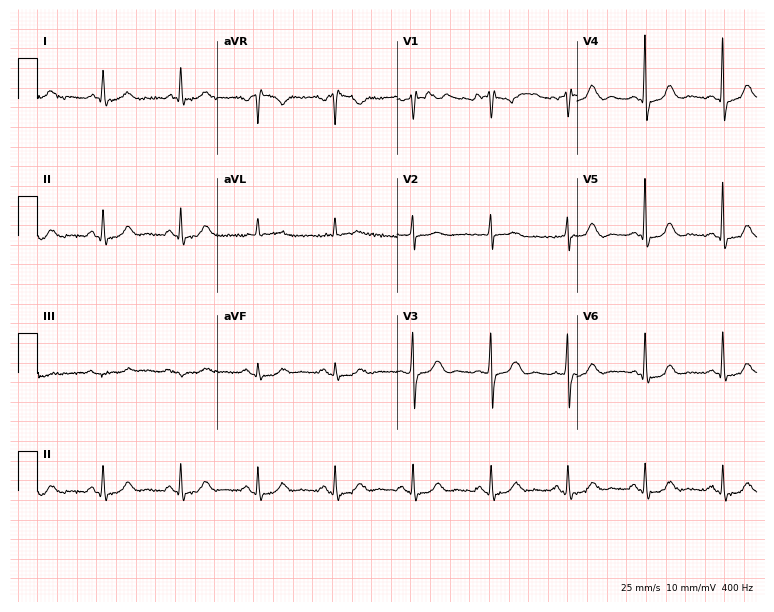
ECG (7.3-second recording at 400 Hz) — a female, 77 years old. Screened for six findings — first-degree AV block, right bundle branch block, left bundle branch block, sinus bradycardia, atrial fibrillation, sinus tachycardia — none is recorded.